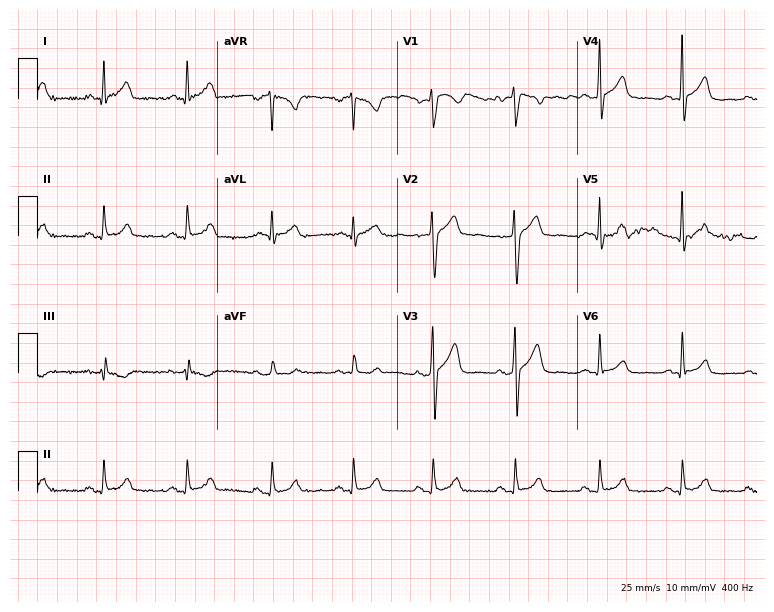
12-lead ECG from a 49-year-old man. Labelled as a normal ECG.